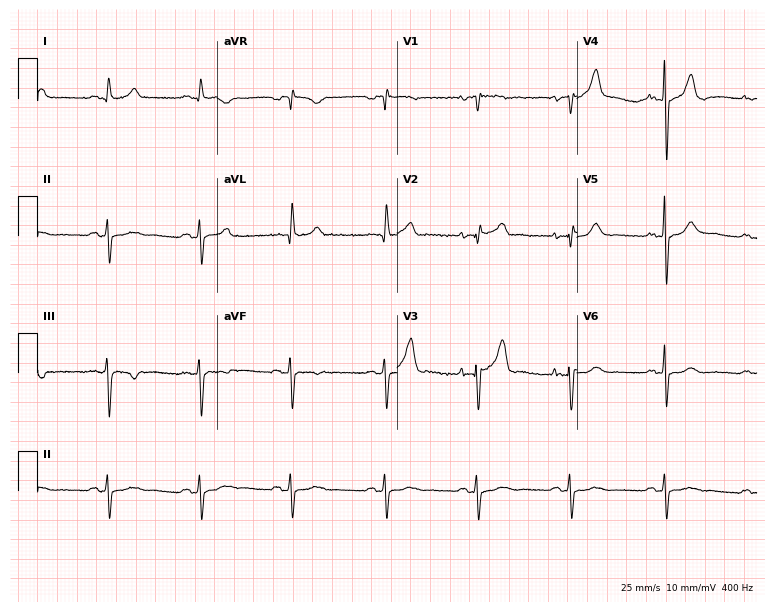
ECG (7.3-second recording at 400 Hz) — a man, 82 years old. Screened for six findings — first-degree AV block, right bundle branch block (RBBB), left bundle branch block (LBBB), sinus bradycardia, atrial fibrillation (AF), sinus tachycardia — none is recorded. Only these six findings were labelled.